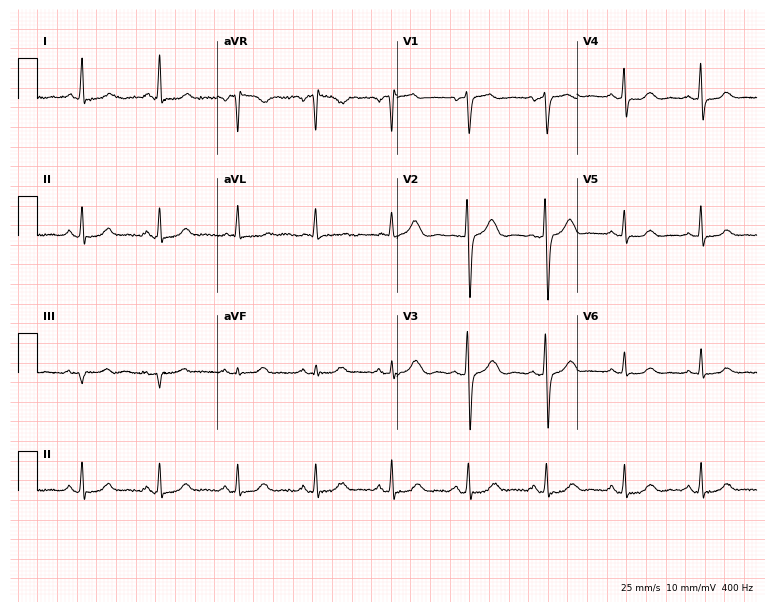
Resting 12-lead electrocardiogram (7.3-second recording at 400 Hz). Patient: a 67-year-old female. Read as a normal ECG.